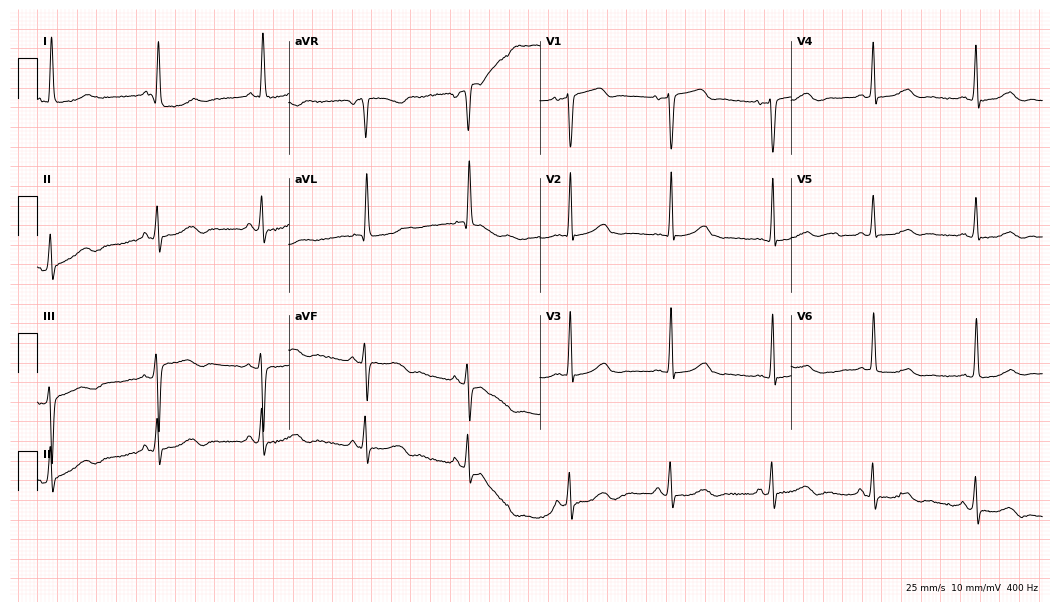
Electrocardiogram, a female patient, 82 years old. Of the six screened findings (first-degree AV block, right bundle branch block (RBBB), left bundle branch block (LBBB), sinus bradycardia, atrial fibrillation (AF), sinus tachycardia), none is recorded. Other findings, if any, are not listed.